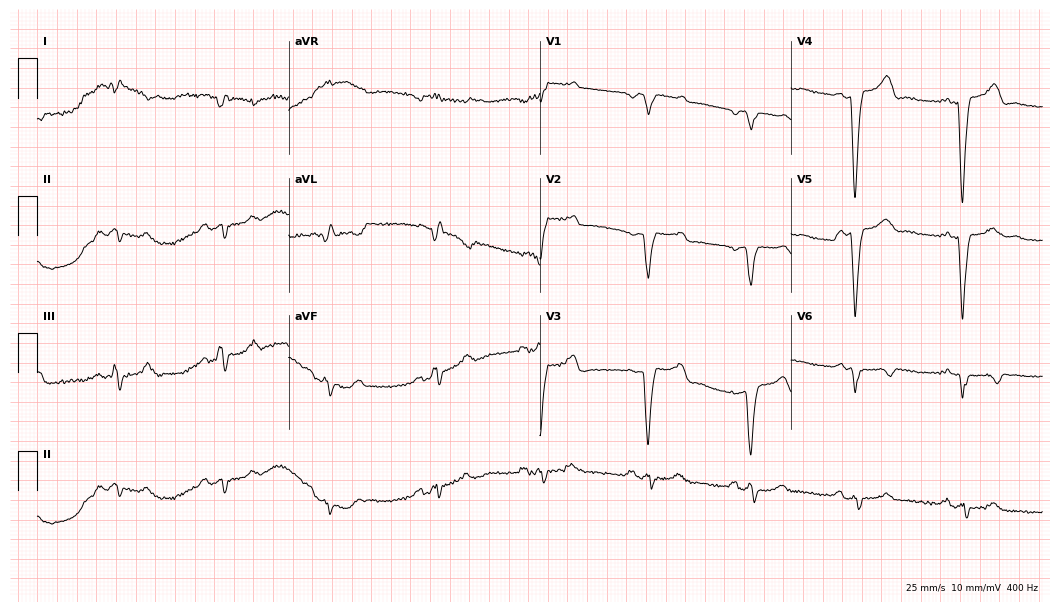
Electrocardiogram (10.2-second recording at 400 Hz), an 81-year-old woman. Of the six screened findings (first-degree AV block, right bundle branch block, left bundle branch block, sinus bradycardia, atrial fibrillation, sinus tachycardia), none is recorded. Only these six findings were labelled.